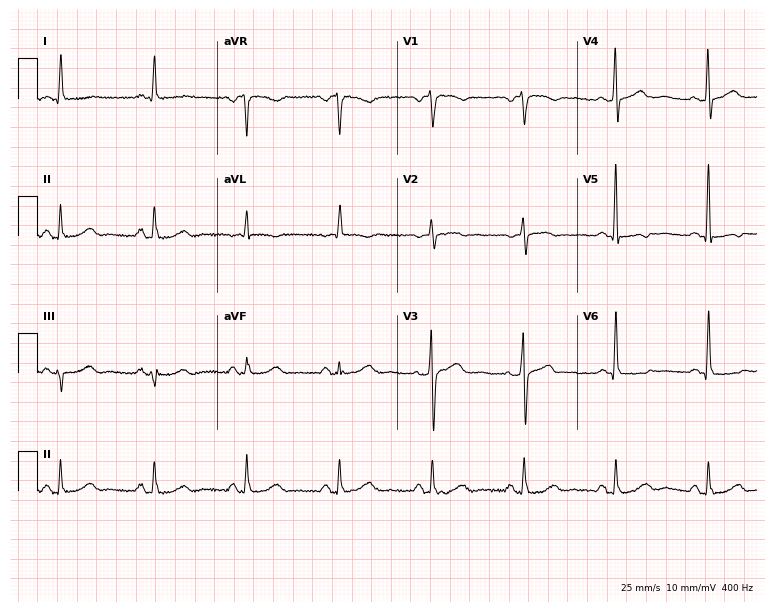
12-lead ECG from a woman, 85 years old (7.3-second recording at 400 Hz). No first-degree AV block, right bundle branch block (RBBB), left bundle branch block (LBBB), sinus bradycardia, atrial fibrillation (AF) or sinus tachycardia recorded for this tracing.